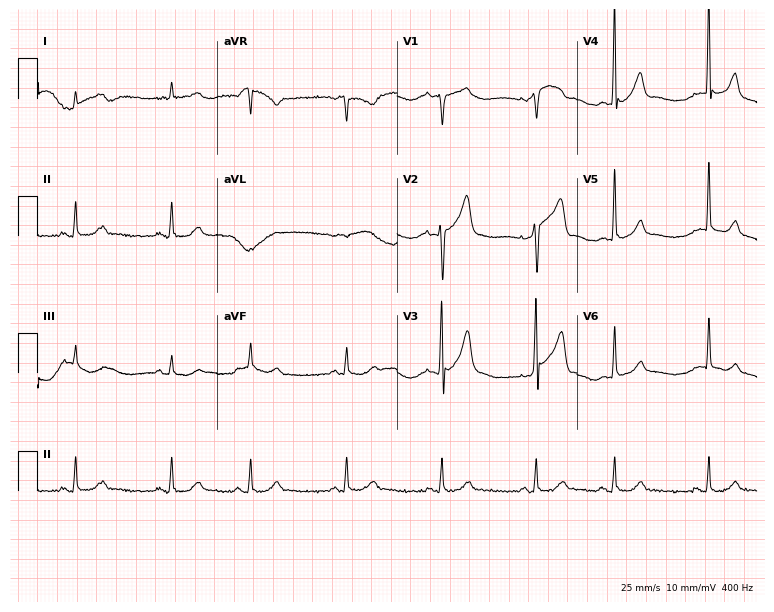
Resting 12-lead electrocardiogram. Patient: a male, 78 years old. None of these six findings is recorded: first-degree AV block, right bundle branch block (RBBB), left bundle branch block (LBBB), sinus bradycardia, atrial fibrillation (AF), sinus tachycardia.